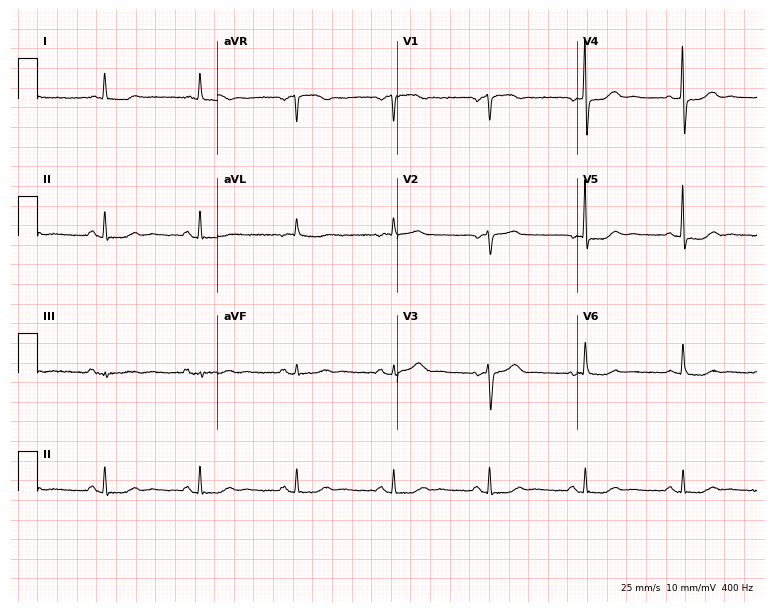
Resting 12-lead electrocardiogram. Patient: a female, 69 years old. Read as a normal ECG.